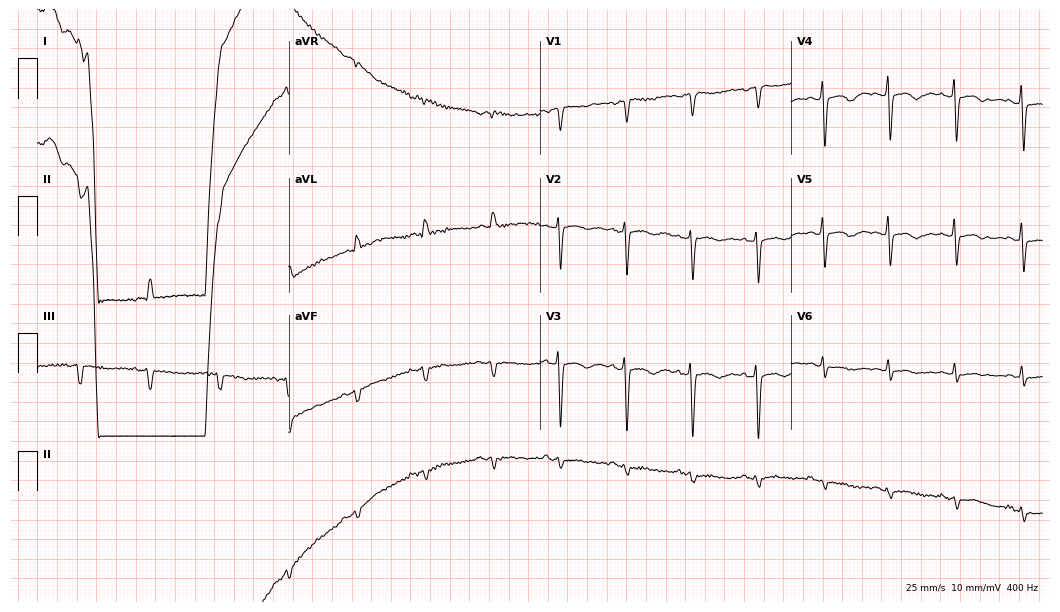
Electrocardiogram (10.2-second recording at 400 Hz), a woman, 52 years old. Of the six screened findings (first-degree AV block, right bundle branch block (RBBB), left bundle branch block (LBBB), sinus bradycardia, atrial fibrillation (AF), sinus tachycardia), none is recorded. Other findings, if any, are not listed.